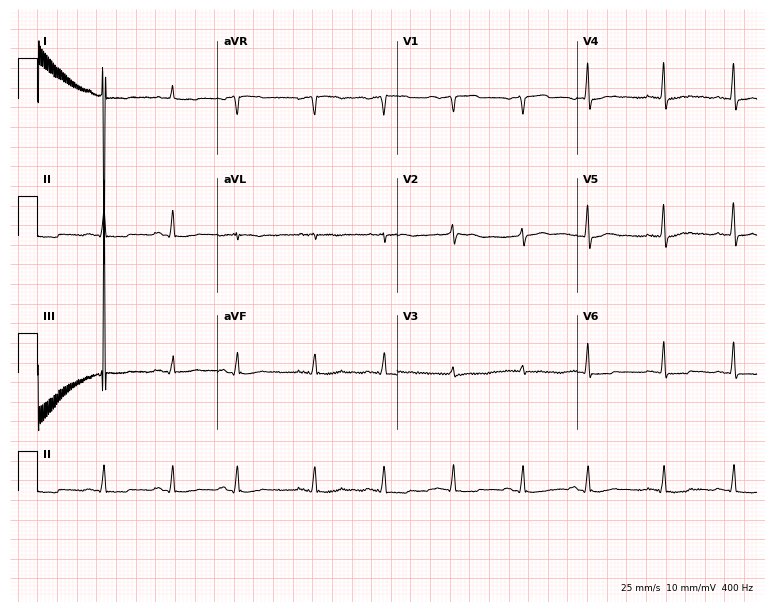
Standard 12-lead ECG recorded from a 61-year-old male patient (7.3-second recording at 400 Hz). None of these six findings is recorded: first-degree AV block, right bundle branch block, left bundle branch block, sinus bradycardia, atrial fibrillation, sinus tachycardia. Findings outside these six are not listed.